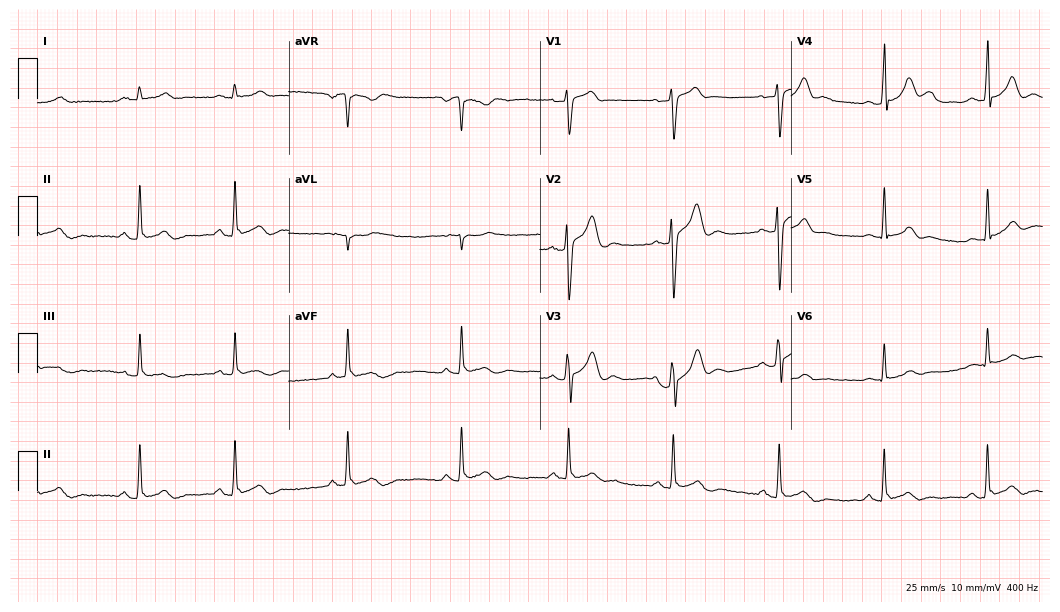
12-lead ECG (10.2-second recording at 400 Hz) from a male, 40 years old. Labelled as a normal ECG.